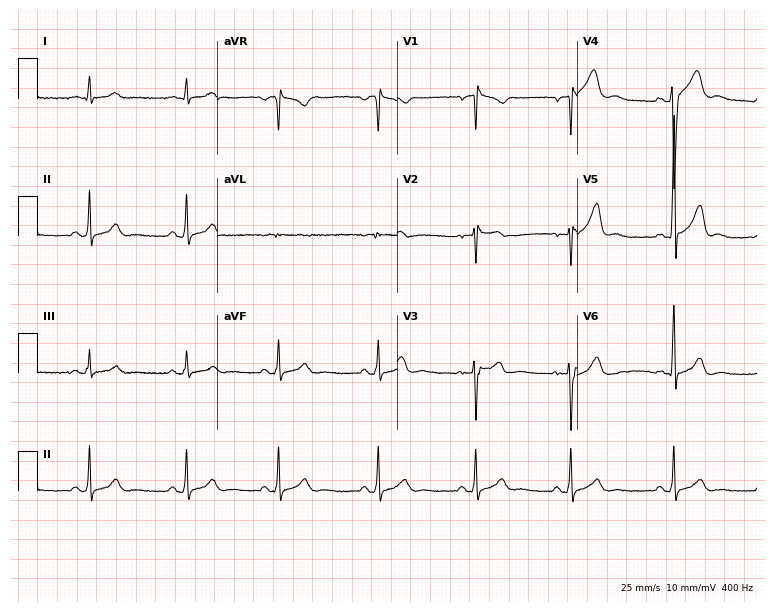
Standard 12-lead ECG recorded from a 19-year-old male patient. None of these six findings is recorded: first-degree AV block, right bundle branch block (RBBB), left bundle branch block (LBBB), sinus bradycardia, atrial fibrillation (AF), sinus tachycardia. Only these six findings were labelled.